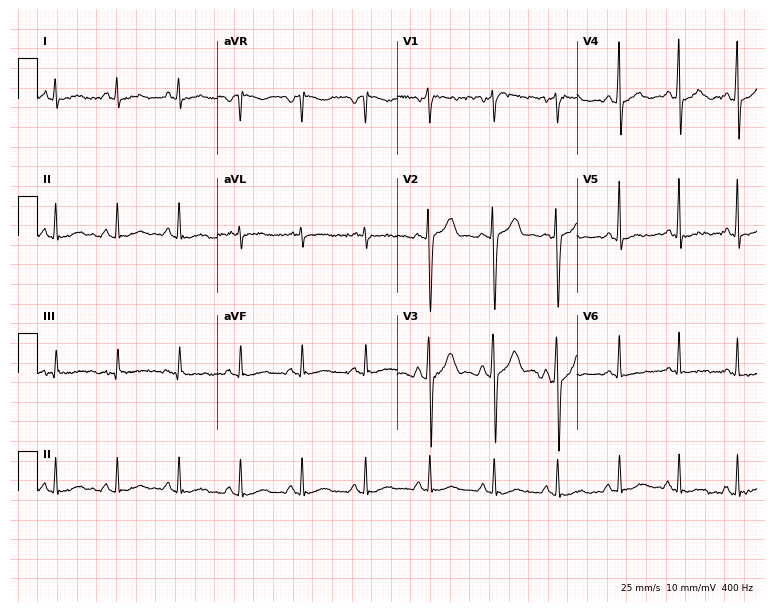
12-lead ECG (7.3-second recording at 400 Hz) from a 40-year-old male patient. Screened for six findings — first-degree AV block, right bundle branch block, left bundle branch block, sinus bradycardia, atrial fibrillation, sinus tachycardia — none is recorded. Only these six findings were labelled.